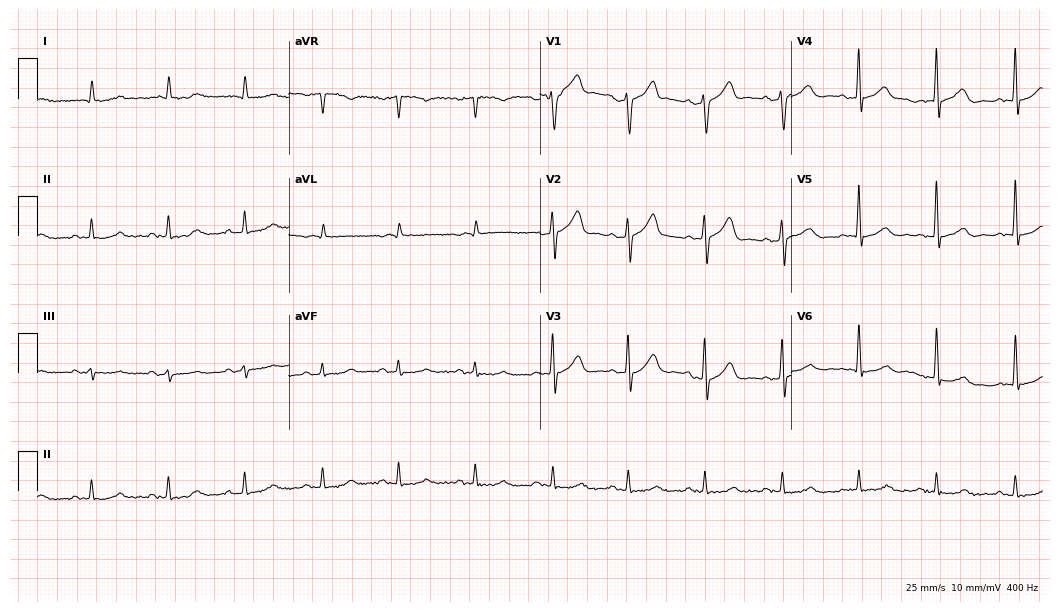
Standard 12-lead ECG recorded from a man, 85 years old. None of these six findings is recorded: first-degree AV block, right bundle branch block, left bundle branch block, sinus bradycardia, atrial fibrillation, sinus tachycardia.